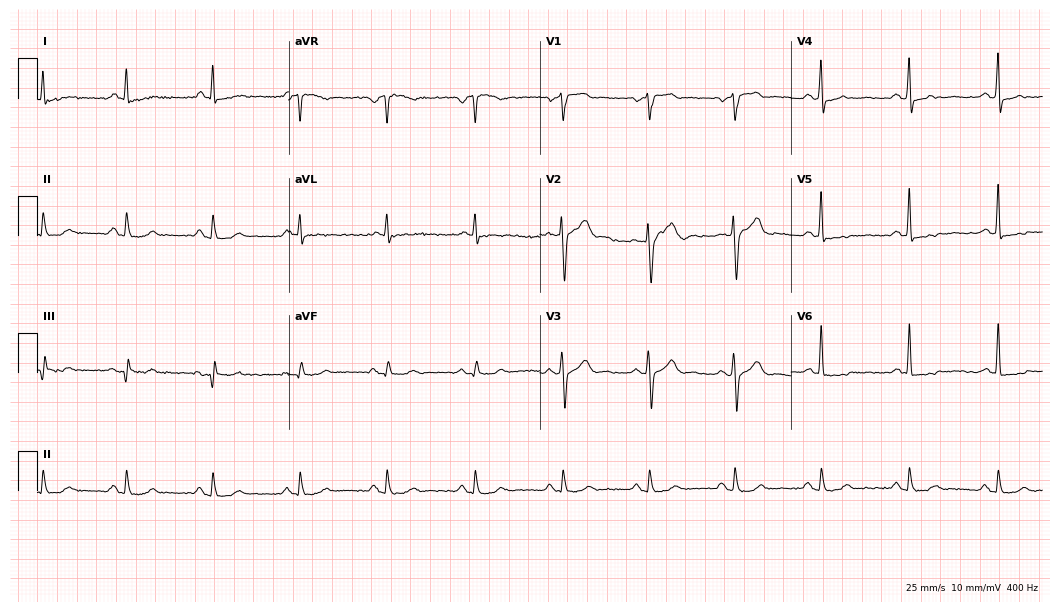
ECG — a male, 46 years old. Screened for six findings — first-degree AV block, right bundle branch block (RBBB), left bundle branch block (LBBB), sinus bradycardia, atrial fibrillation (AF), sinus tachycardia — none is recorded. Only these six findings were labelled.